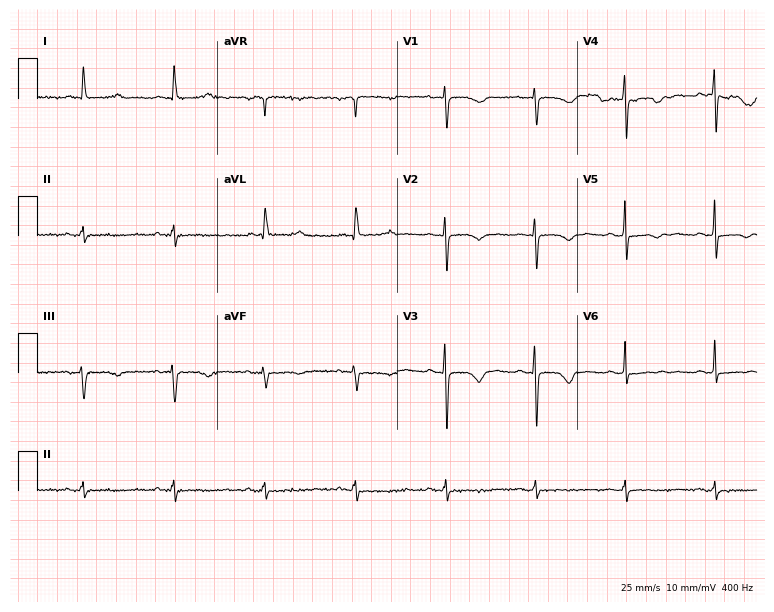
ECG (7.3-second recording at 400 Hz) — a female, 70 years old. Screened for six findings — first-degree AV block, right bundle branch block, left bundle branch block, sinus bradycardia, atrial fibrillation, sinus tachycardia — none is recorded. Only these six findings were labelled.